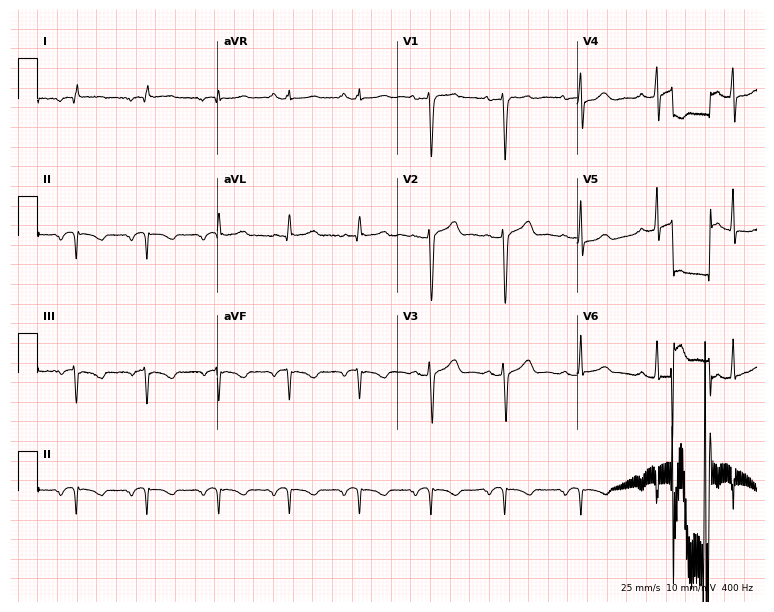
ECG — a 36-year-old woman. Screened for six findings — first-degree AV block, right bundle branch block, left bundle branch block, sinus bradycardia, atrial fibrillation, sinus tachycardia — none is recorded. Only these six findings were labelled.